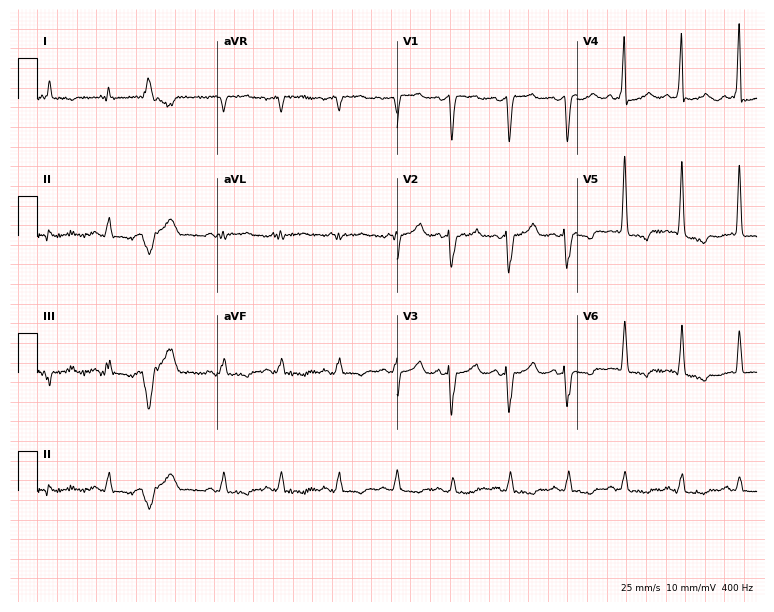
Resting 12-lead electrocardiogram (7.3-second recording at 400 Hz). Patient: an 85-year-old male. The tracing shows sinus tachycardia (a sinus rate of 100 beats per minute or more).